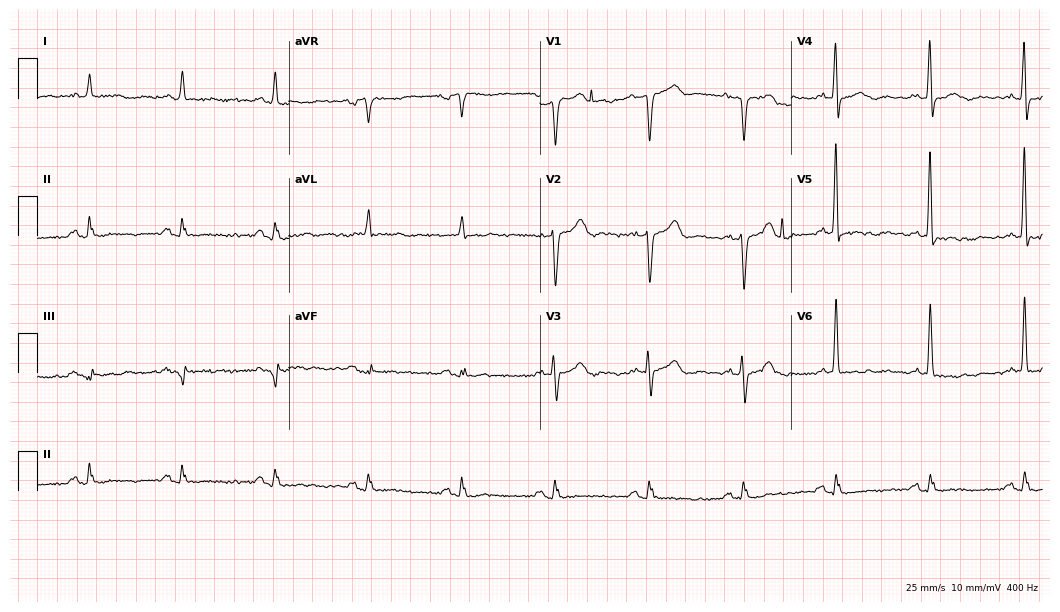
Resting 12-lead electrocardiogram (10.2-second recording at 400 Hz). Patient: a 77-year-old male. None of these six findings is recorded: first-degree AV block, right bundle branch block, left bundle branch block, sinus bradycardia, atrial fibrillation, sinus tachycardia.